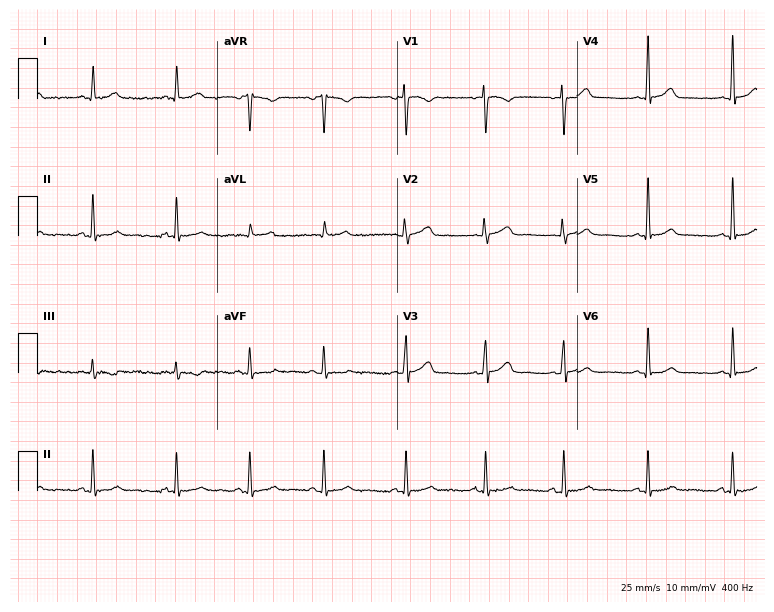
ECG (7.3-second recording at 400 Hz) — a 22-year-old female patient. Labelled as a normal ECG.